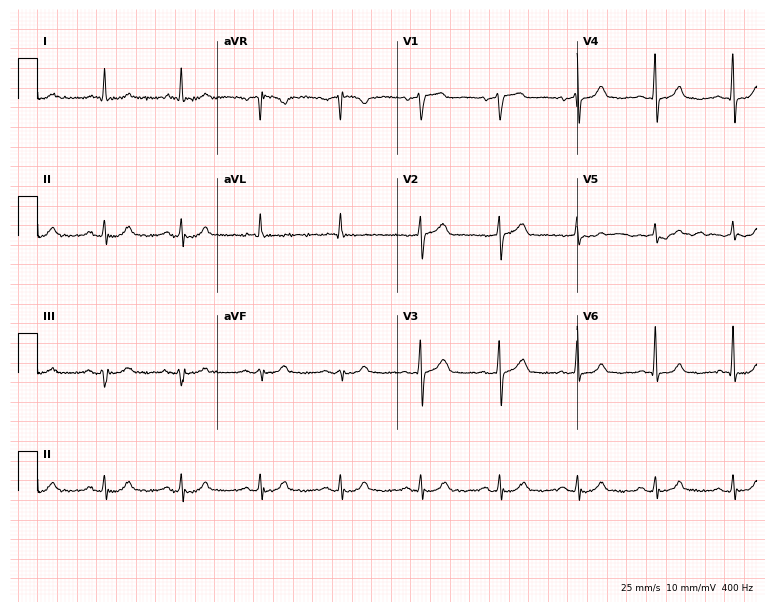
ECG — a male, 75 years old. Screened for six findings — first-degree AV block, right bundle branch block, left bundle branch block, sinus bradycardia, atrial fibrillation, sinus tachycardia — none is recorded.